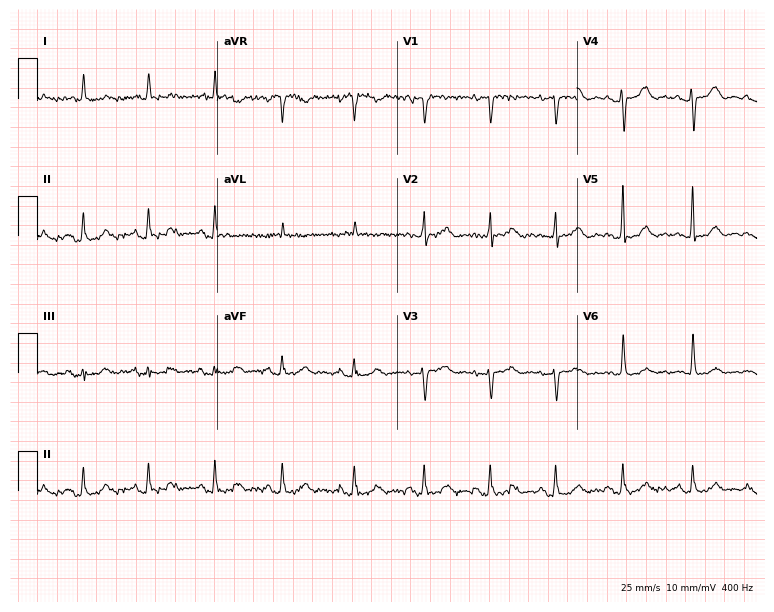
Electrocardiogram (7.3-second recording at 400 Hz), a woman, 72 years old. Overall reading on record: normal ECG.